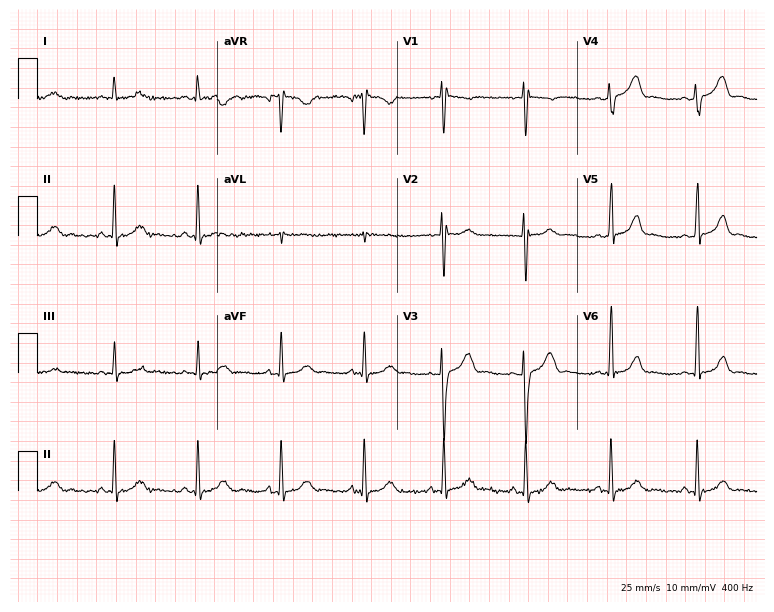
Standard 12-lead ECG recorded from a woman, 28 years old. Read as a normal ECG.